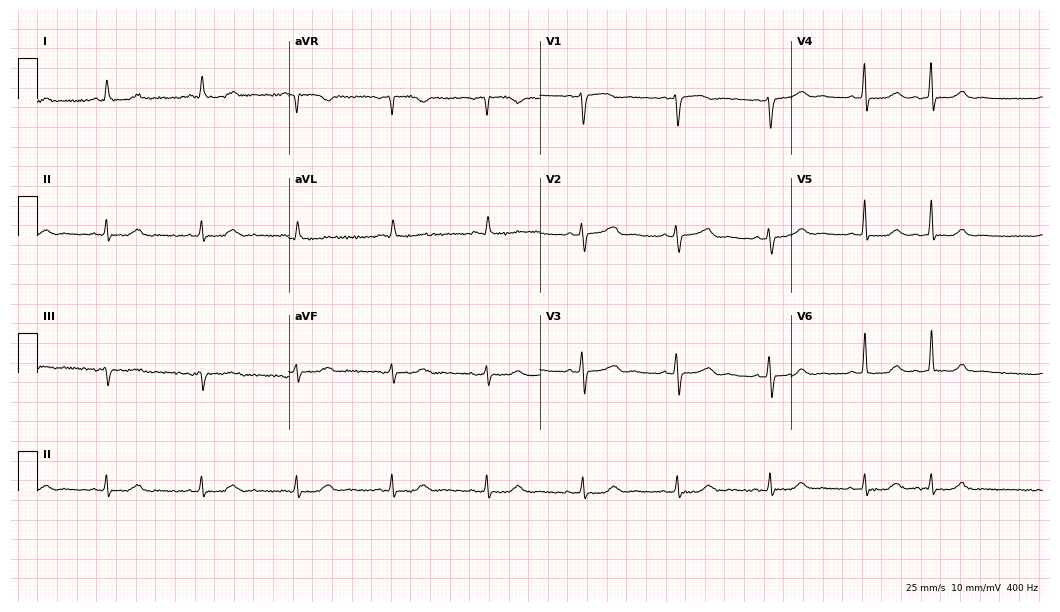
Resting 12-lead electrocardiogram. Patient: a female, 63 years old. None of these six findings is recorded: first-degree AV block, right bundle branch block, left bundle branch block, sinus bradycardia, atrial fibrillation, sinus tachycardia. Other findings, if any, are not listed.